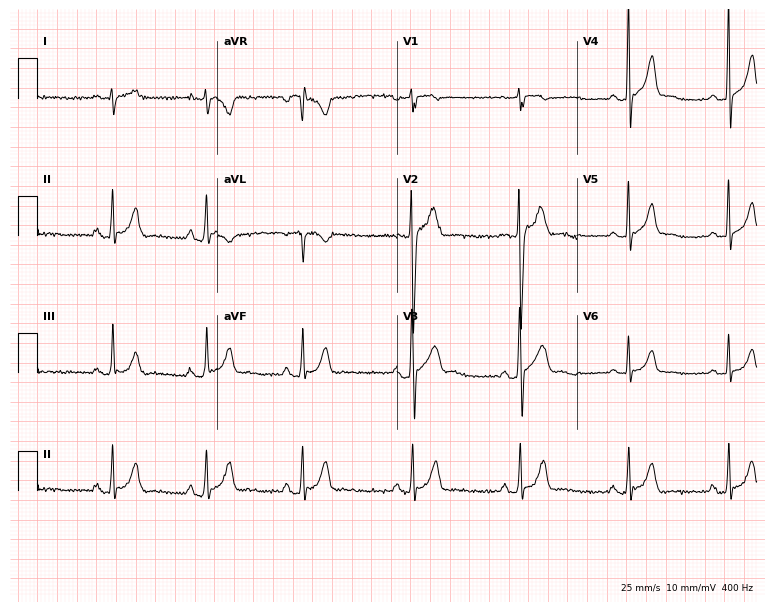
Electrocardiogram, a male patient, 31 years old. Of the six screened findings (first-degree AV block, right bundle branch block, left bundle branch block, sinus bradycardia, atrial fibrillation, sinus tachycardia), none is recorded. Findings outside these six are not listed.